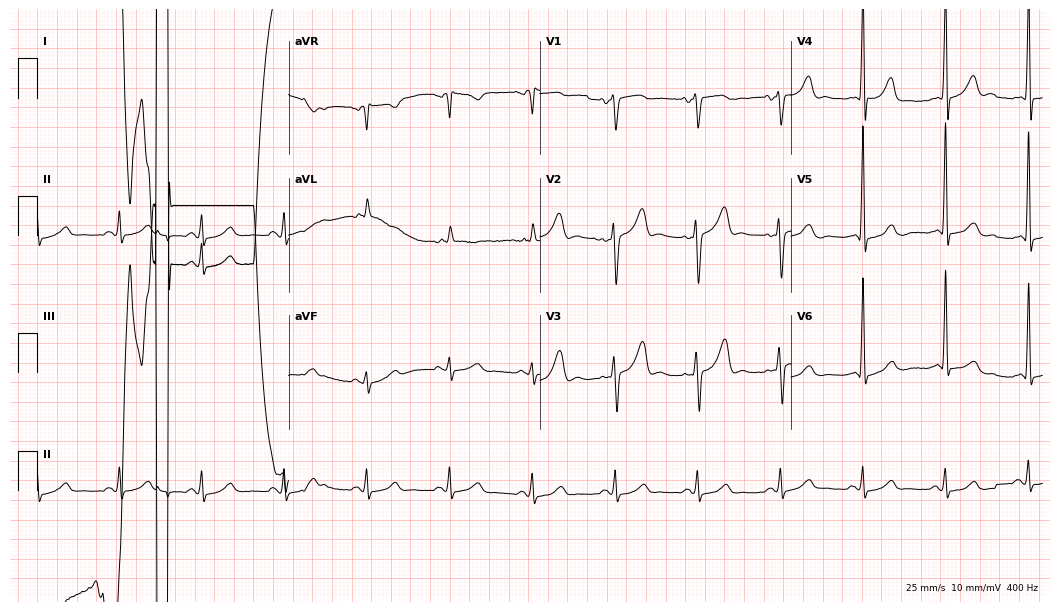
Resting 12-lead electrocardiogram. Patient: a 63-year-old man. None of these six findings is recorded: first-degree AV block, right bundle branch block, left bundle branch block, sinus bradycardia, atrial fibrillation, sinus tachycardia. Only these six findings were labelled.